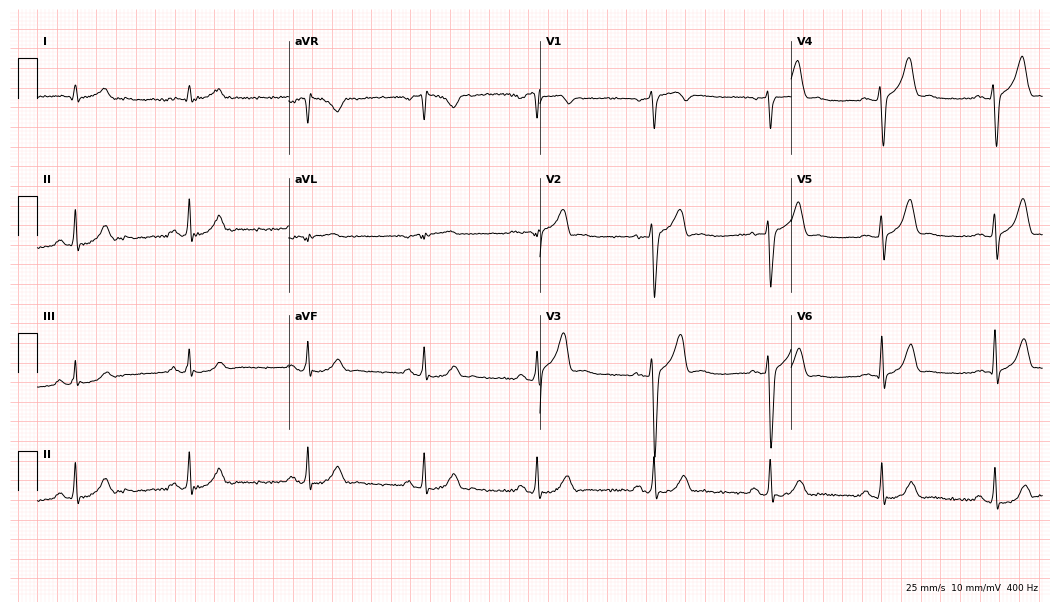
Resting 12-lead electrocardiogram (10.2-second recording at 400 Hz). Patient: a male, 35 years old. Read as a normal ECG.